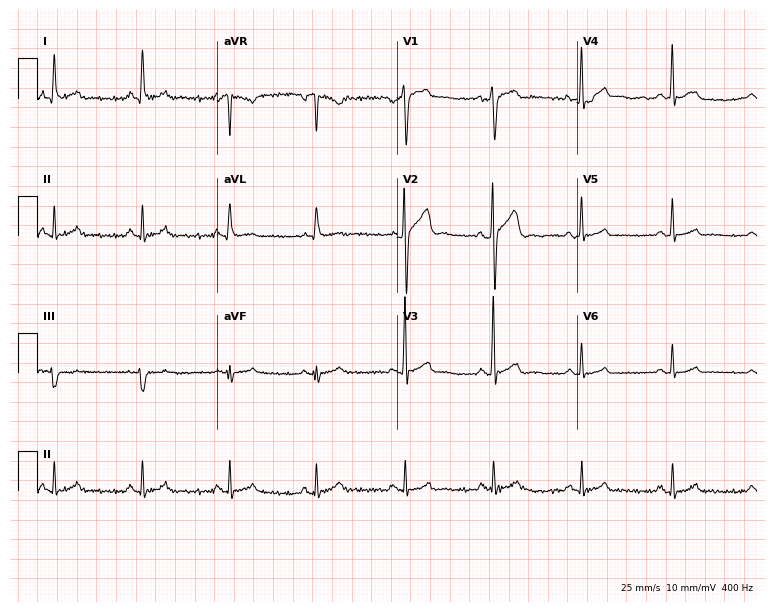
12-lead ECG (7.3-second recording at 400 Hz) from a 40-year-old man. Labelled as a normal ECG.